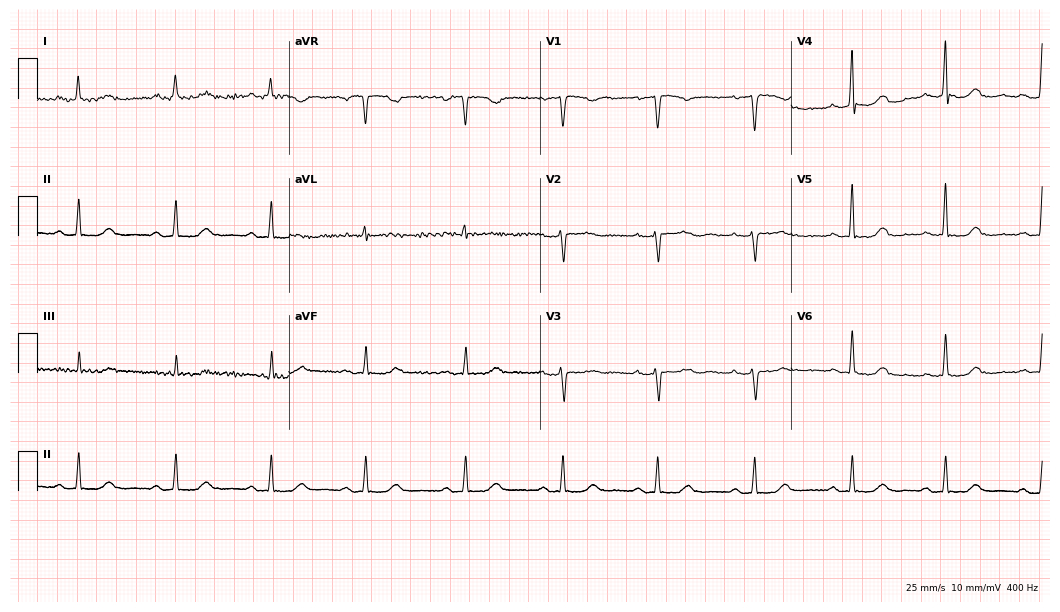
Standard 12-lead ECG recorded from a female, 57 years old. None of these six findings is recorded: first-degree AV block, right bundle branch block (RBBB), left bundle branch block (LBBB), sinus bradycardia, atrial fibrillation (AF), sinus tachycardia.